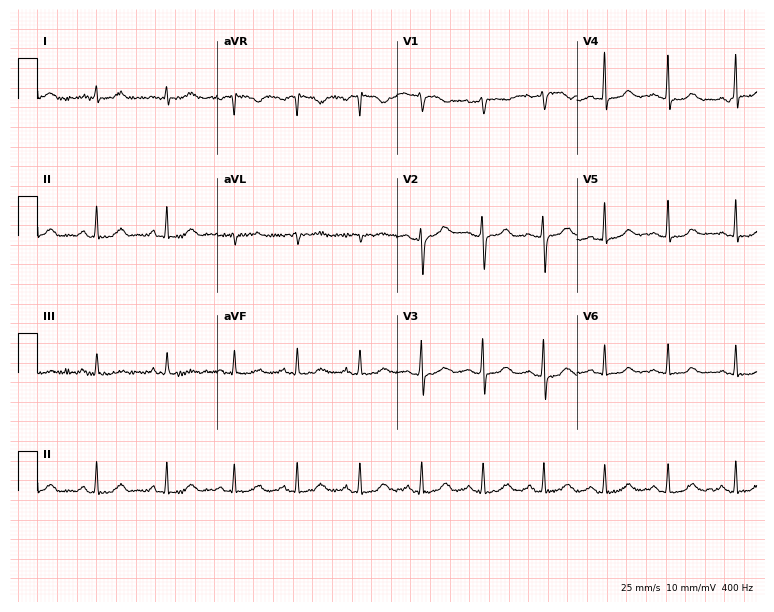
Electrocardiogram, a female patient, 38 years old. Of the six screened findings (first-degree AV block, right bundle branch block, left bundle branch block, sinus bradycardia, atrial fibrillation, sinus tachycardia), none is recorded.